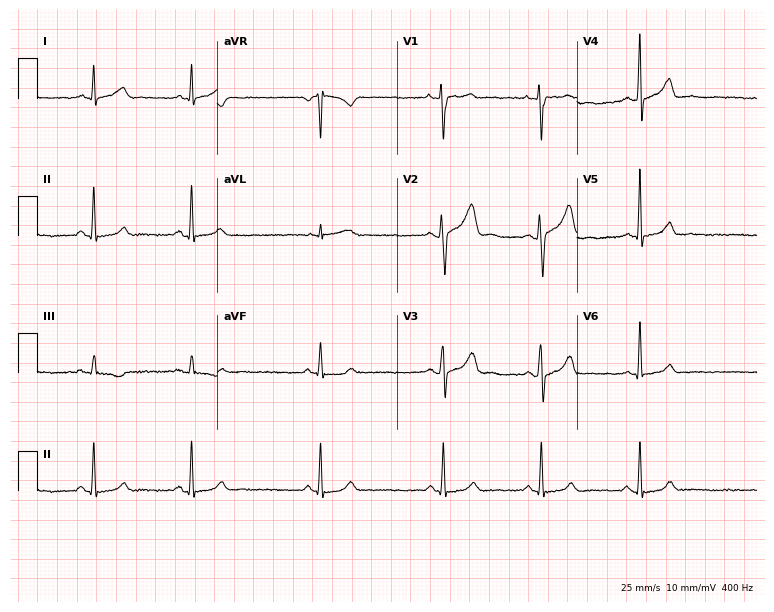
ECG — a man, 25 years old. Screened for six findings — first-degree AV block, right bundle branch block, left bundle branch block, sinus bradycardia, atrial fibrillation, sinus tachycardia — none is recorded.